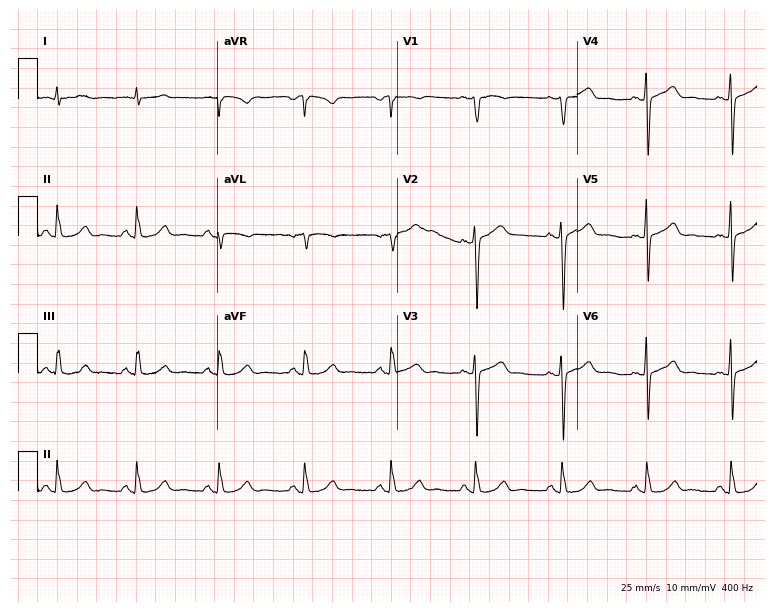
Resting 12-lead electrocardiogram. Patient: a 64-year-old male. Read as a normal ECG.